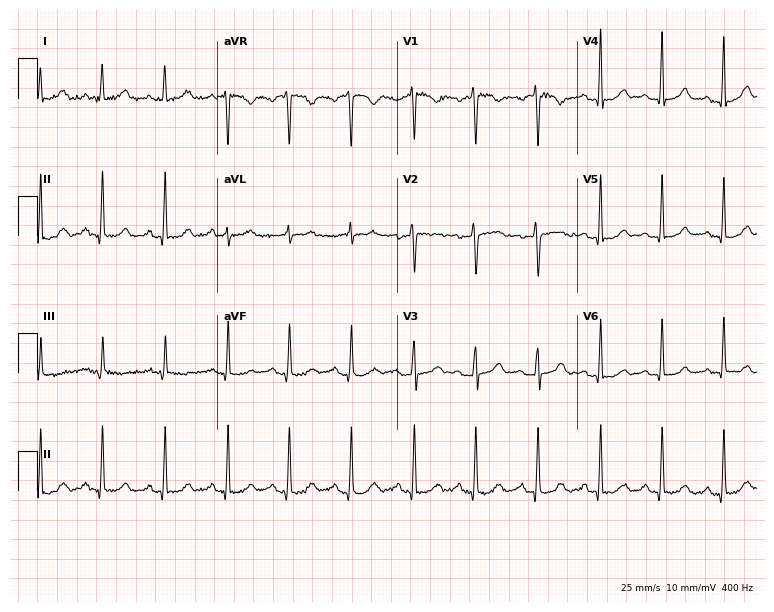
12-lead ECG from a 43-year-old woman (7.3-second recording at 400 Hz). Recorded interpretation: within normal limits.